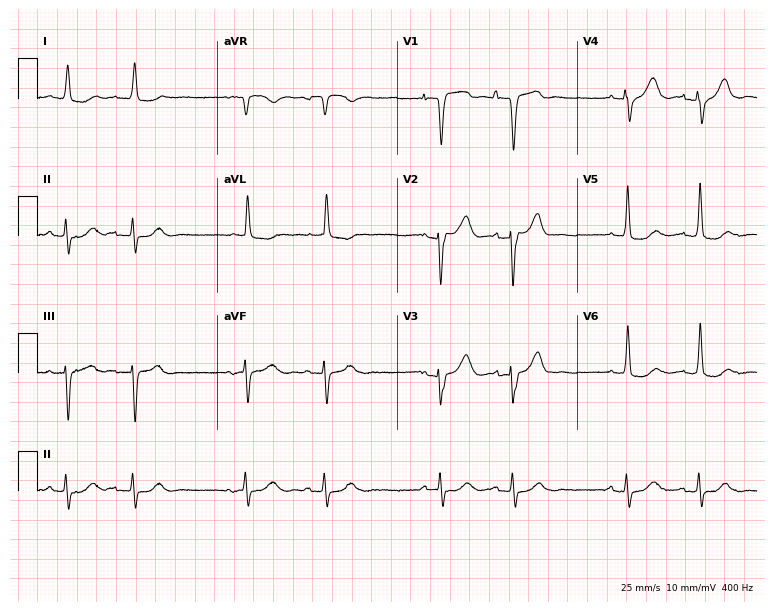
ECG (7.3-second recording at 400 Hz) — a male, 85 years old. Screened for six findings — first-degree AV block, right bundle branch block (RBBB), left bundle branch block (LBBB), sinus bradycardia, atrial fibrillation (AF), sinus tachycardia — none is recorded.